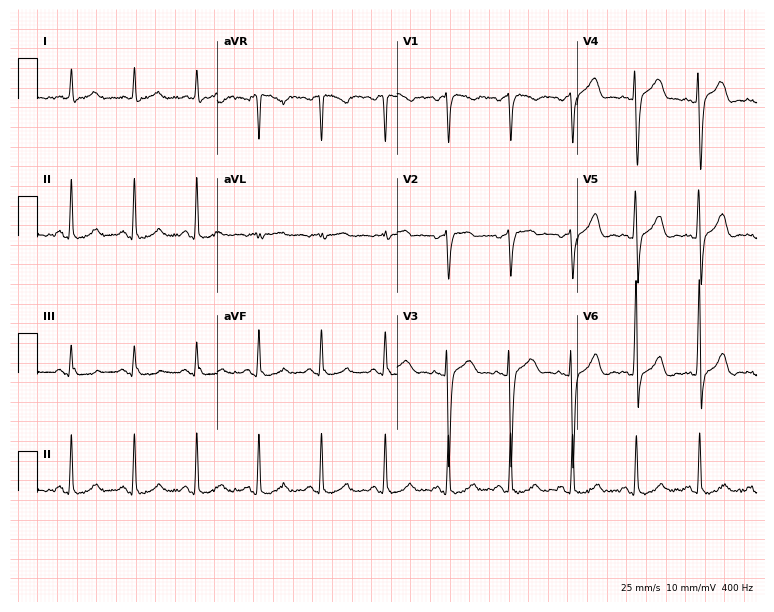
ECG (7.3-second recording at 400 Hz) — a woman, 52 years old. Labelled as a normal ECG.